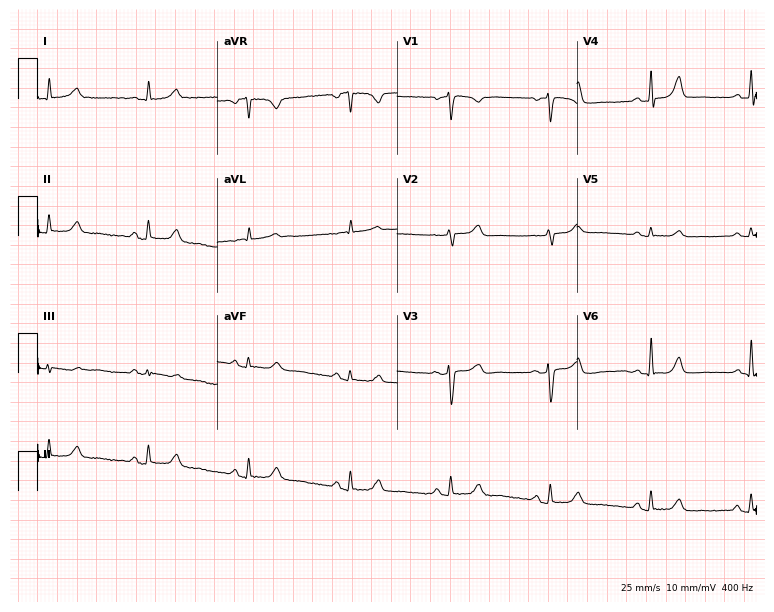
12-lead ECG from a female patient, 75 years old (7.3-second recording at 400 Hz). No first-degree AV block, right bundle branch block, left bundle branch block, sinus bradycardia, atrial fibrillation or sinus tachycardia recorded for this tracing.